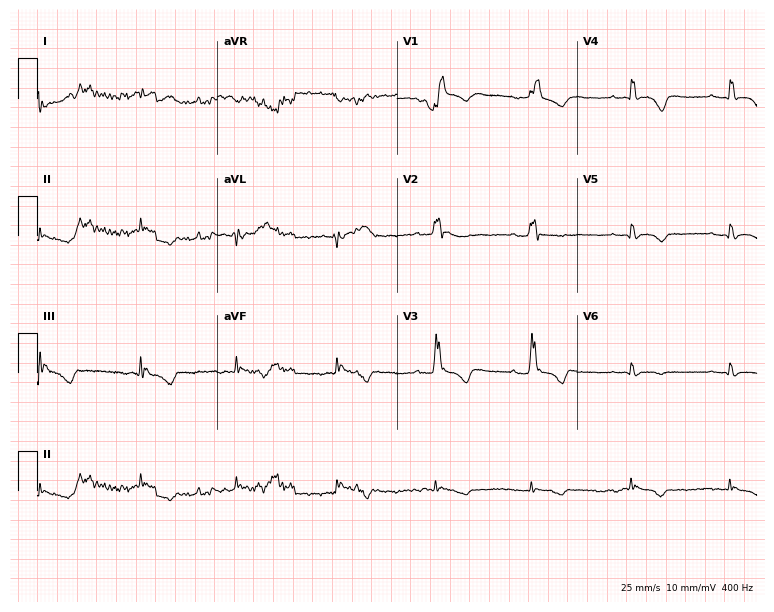
12-lead ECG from a 20-year-old woman. Screened for six findings — first-degree AV block, right bundle branch block (RBBB), left bundle branch block (LBBB), sinus bradycardia, atrial fibrillation (AF), sinus tachycardia — none is recorded. Findings outside these six are not listed.